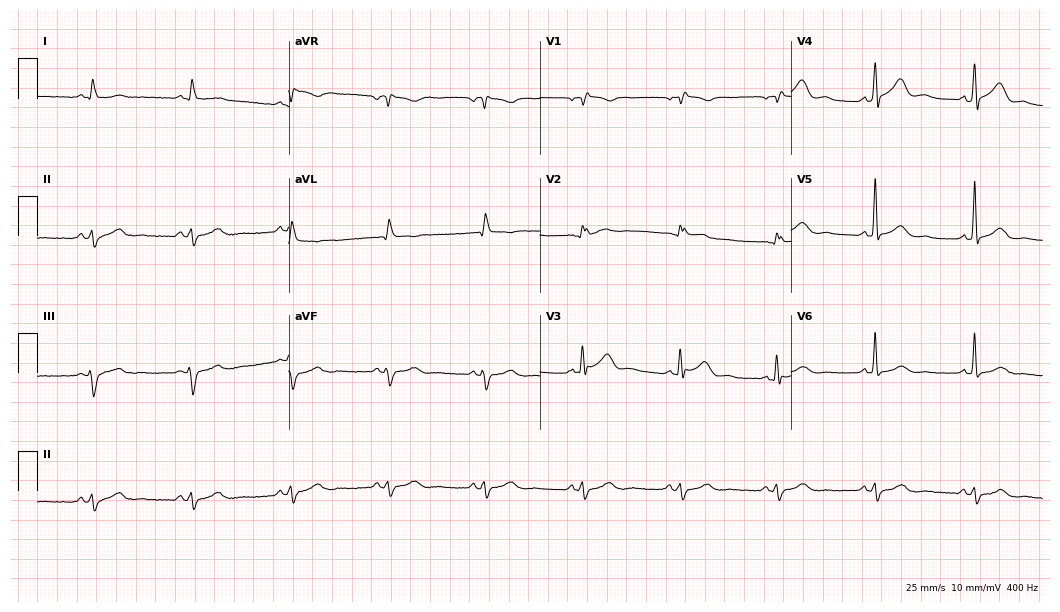
Resting 12-lead electrocardiogram (10.2-second recording at 400 Hz). Patient: a 65-year-old man. None of these six findings is recorded: first-degree AV block, right bundle branch block, left bundle branch block, sinus bradycardia, atrial fibrillation, sinus tachycardia.